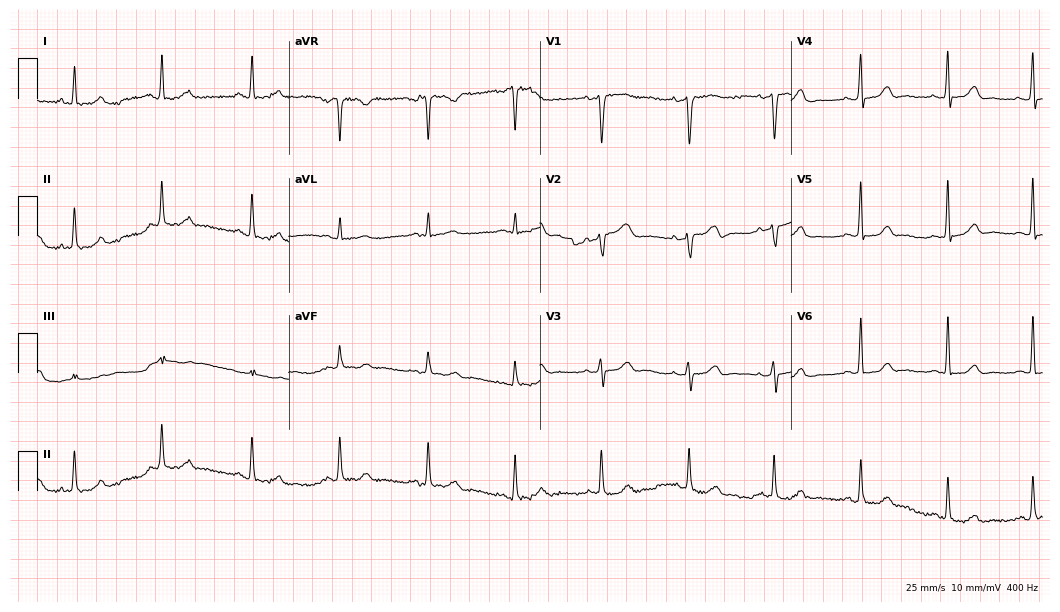
Resting 12-lead electrocardiogram (10.2-second recording at 400 Hz). Patient: a female, 55 years old. None of these six findings is recorded: first-degree AV block, right bundle branch block, left bundle branch block, sinus bradycardia, atrial fibrillation, sinus tachycardia. Only these six findings were labelled.